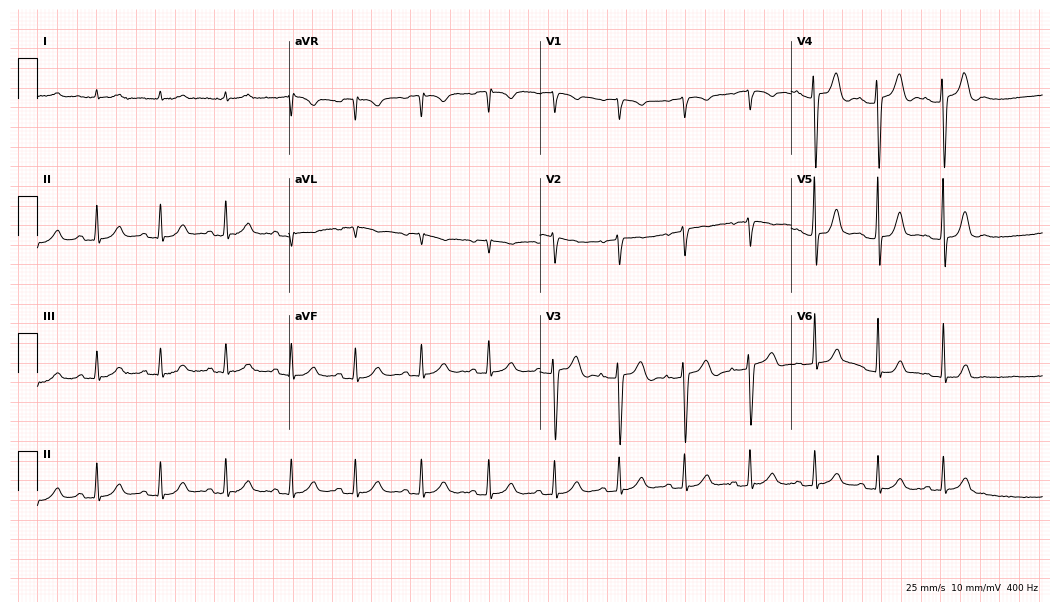
12-lead ECG from a man, 85 years old (10.2-second recording at 400 Hz). Recorded interpretation: within normal limits.